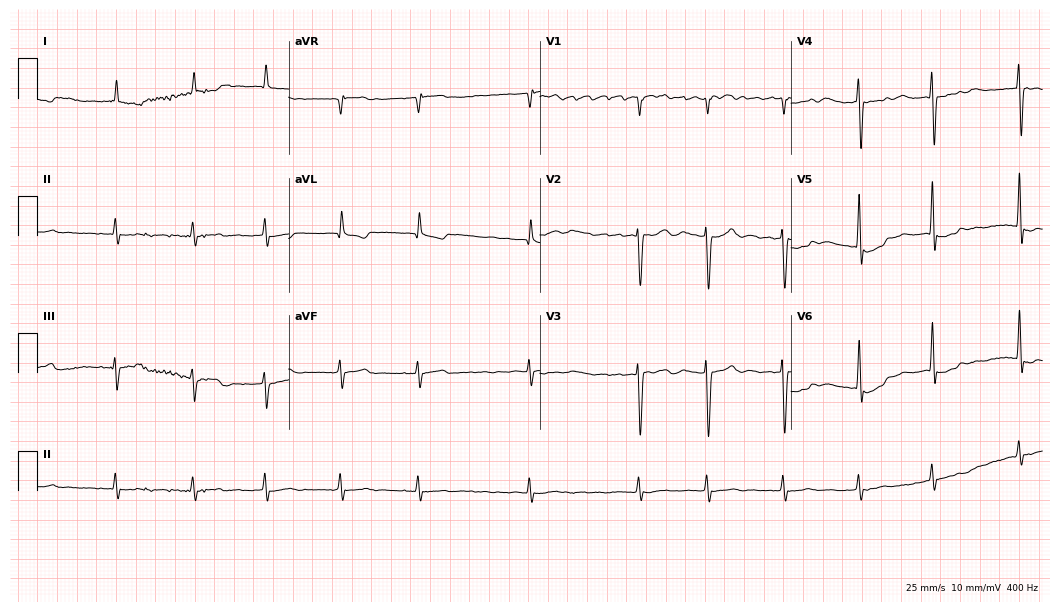
Resting 12-lead electrocardiogram (10.2-second recording at 400 Hz). Patient: a woman, 84 years old. The tracing shows atrial fibrillation (AF).